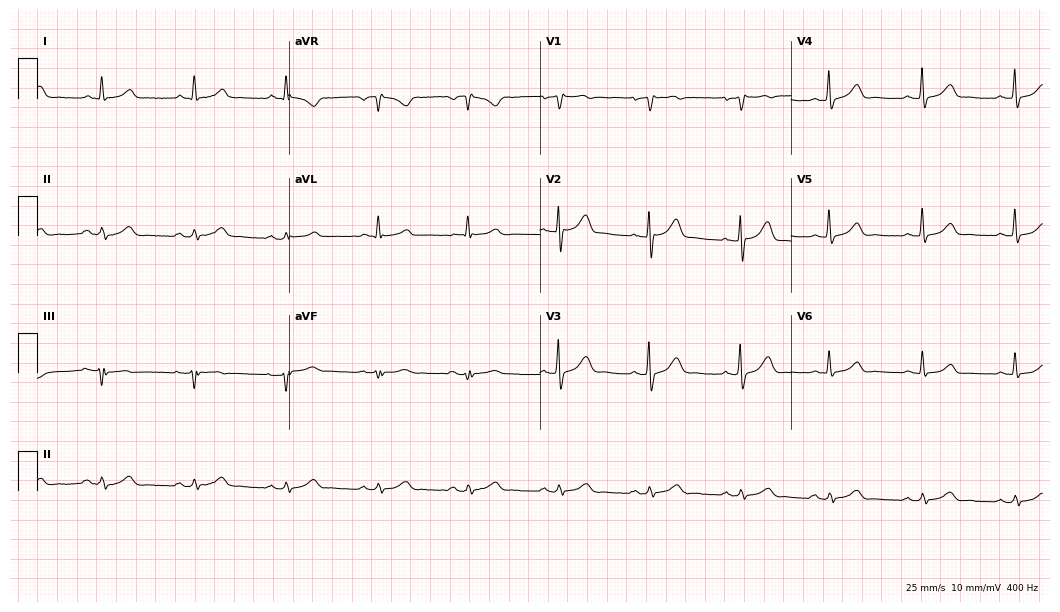
ECG — a 50-year-old male patient. Labelled as a normal ECG.